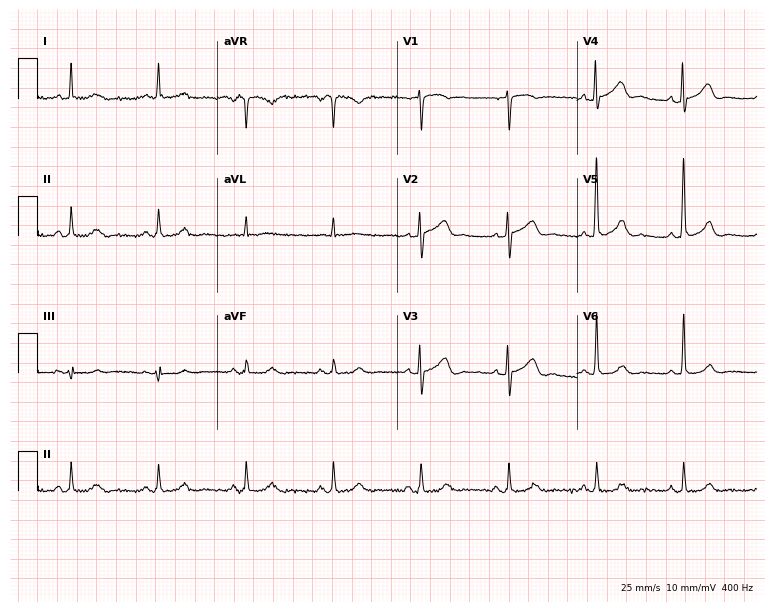
Standard 12-lead ECG recorded from an 84-year-old male patient. Read as a normal ECG.